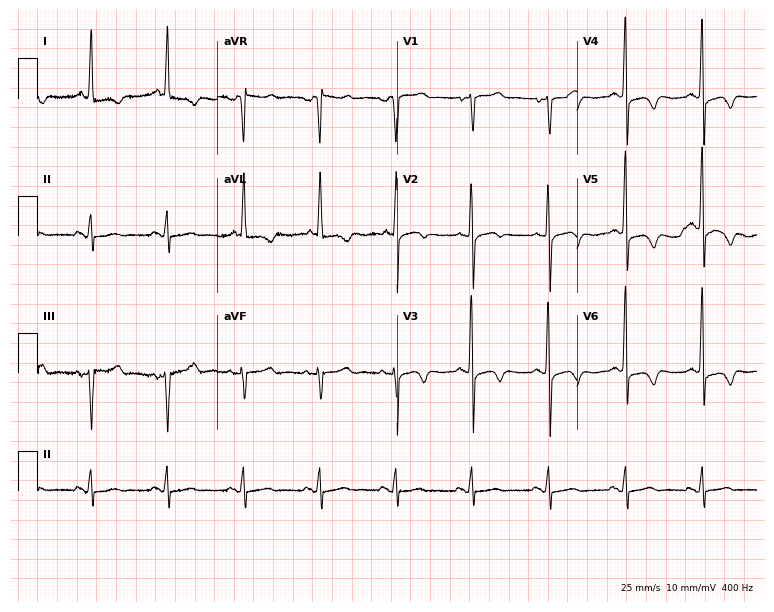
12-lead ECG (7.3-second recording at 400 Hz) from a 68-year-old female. Screened for six findings — first-degree AV block, right bundle branch block, left bundle branch block, sinus bradycardia, atrial fibrillation, sinus tachycardia — none is recorded. Other findings, if any, are not listed.